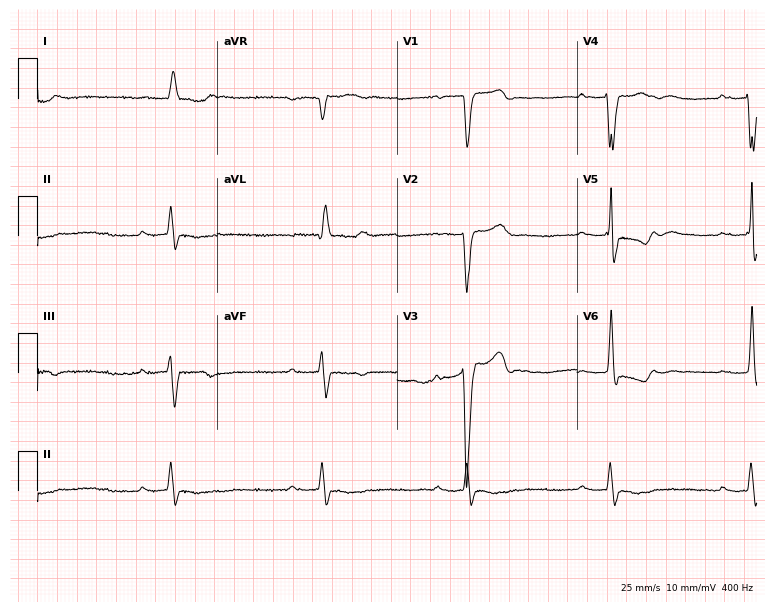
12-lead ECG from a male, 83 years old (7.3-second recording at 400 Hz). No first-degree AV block, right bundle branch block, left bundle branch block, sinus bradycardia, atrial fibrillation or sinus tachycardia recorded for this tracing. Other findings, if any, are not listed.